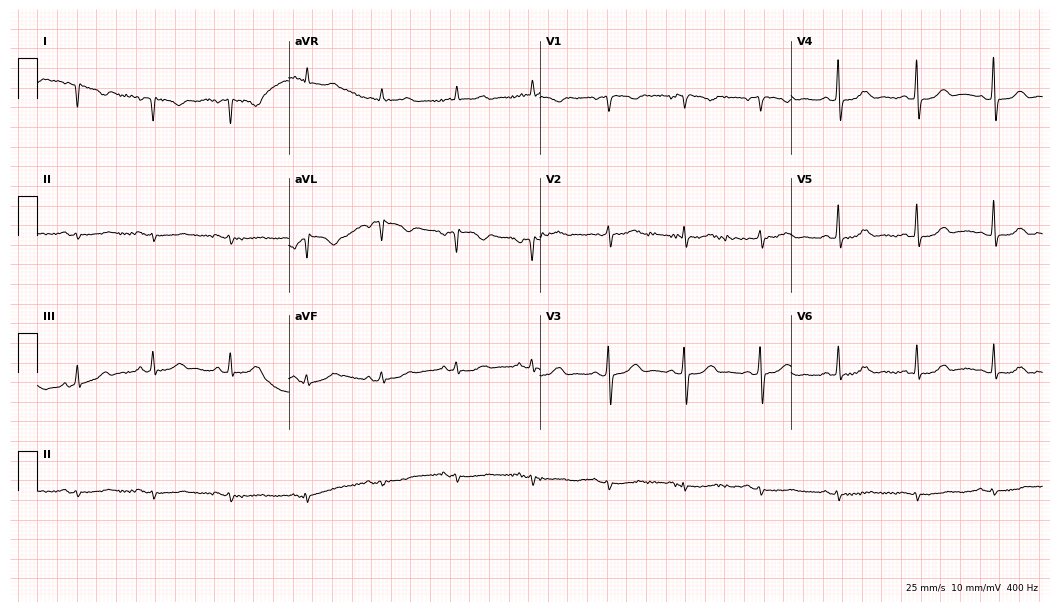
Standard 12-lead ECG recorded from a 54-year-old female patient. None of these six findings is recorded: first-degree AV block, right bundle branch block, left bundle branch block, sinus bradycardia, atrial fibrillation, sinus tachycardia. Findings outside these six are not listed.